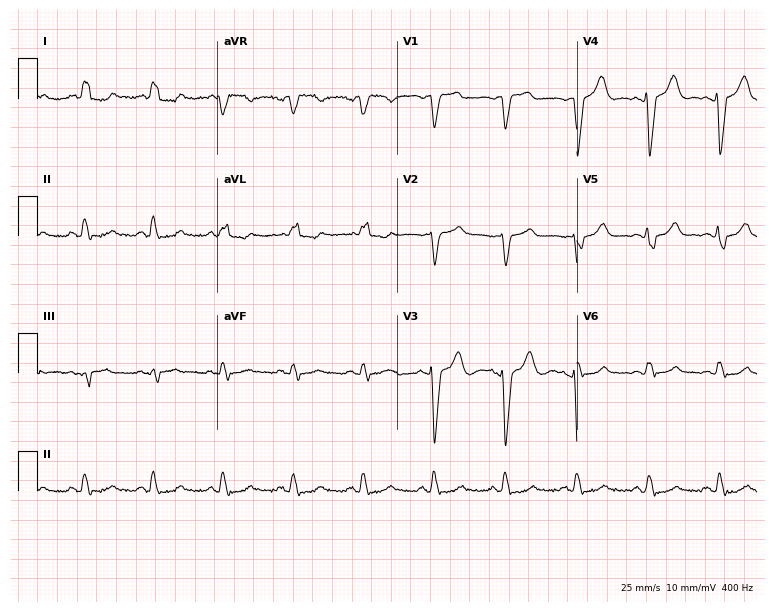
12-lead ECG from a female patient, 83 years old. Shows left bundle branch block (LBBB).